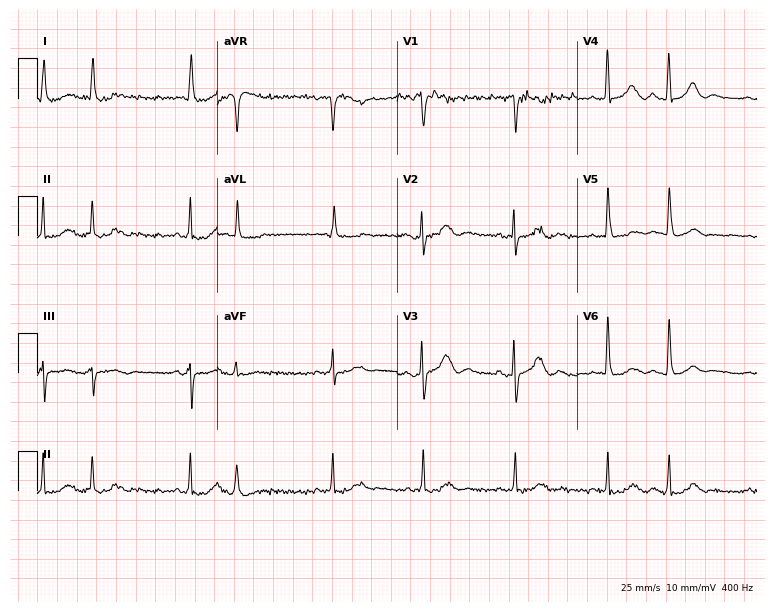
Electrocardiogram (7.3-second recording at 400 Hz), a 66-year-old woman. Of the six screened findings (first-degree AV block, right bundle branch block, left bundle branch block, sinus bradycardia, atrial fibrillation, sinus tachycardia), none is recorded. Findings outside these six are not listed.